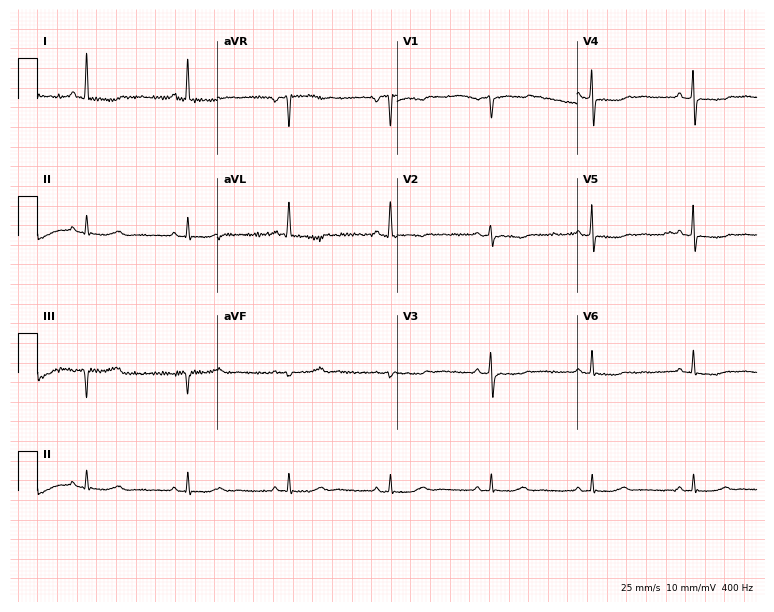
12-lead ECG from a female, 74 years old. No first-degree AV block, right bundle branch block, left bundle branch block, sinus bradycardia, atrial fibrillation or sinus tachycardia recorded for this tracing.